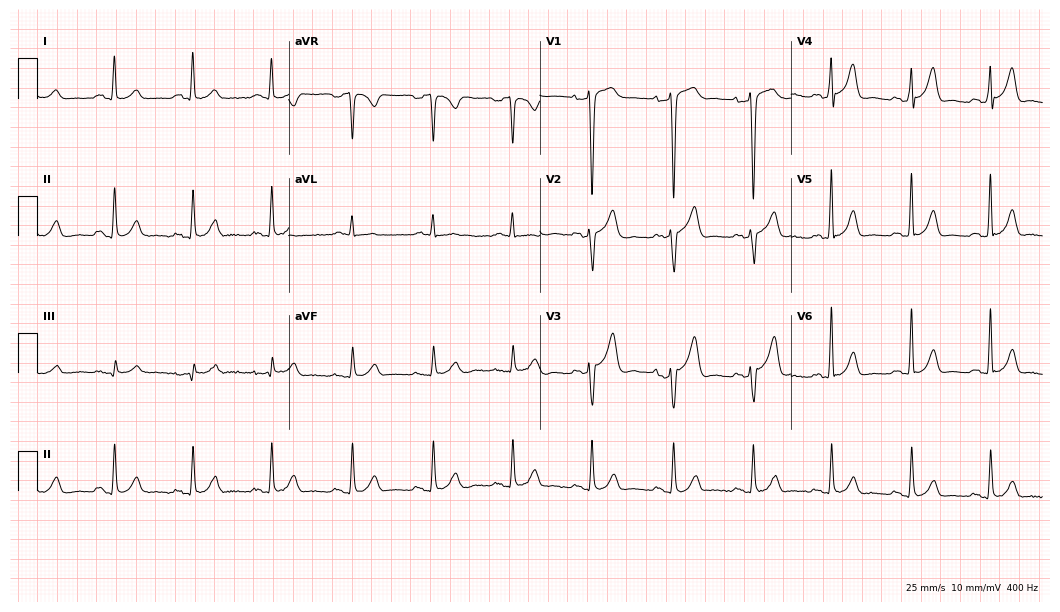
12-lead ECG from a 63-year-old male patient (10.2-second recording at 400 Hz). Recorded interpretation: within normal limits.